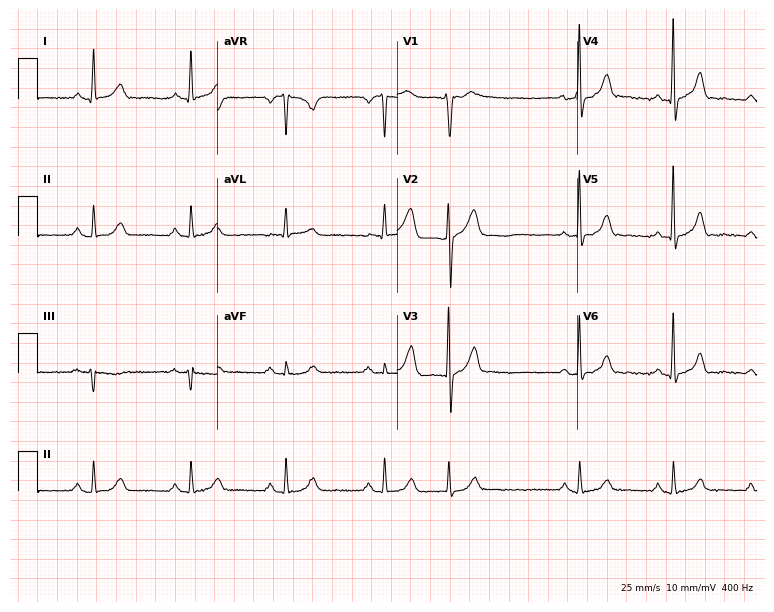
12-lead ECG (7.3-second recording at 400 Hz) from a man, 59 years old. Screened for six findings — first-degree AV block, right bundle branch block, left bundle branch block, sinus bradycardia, atrial fibrillation, sinus tachycardia — none is recorded.